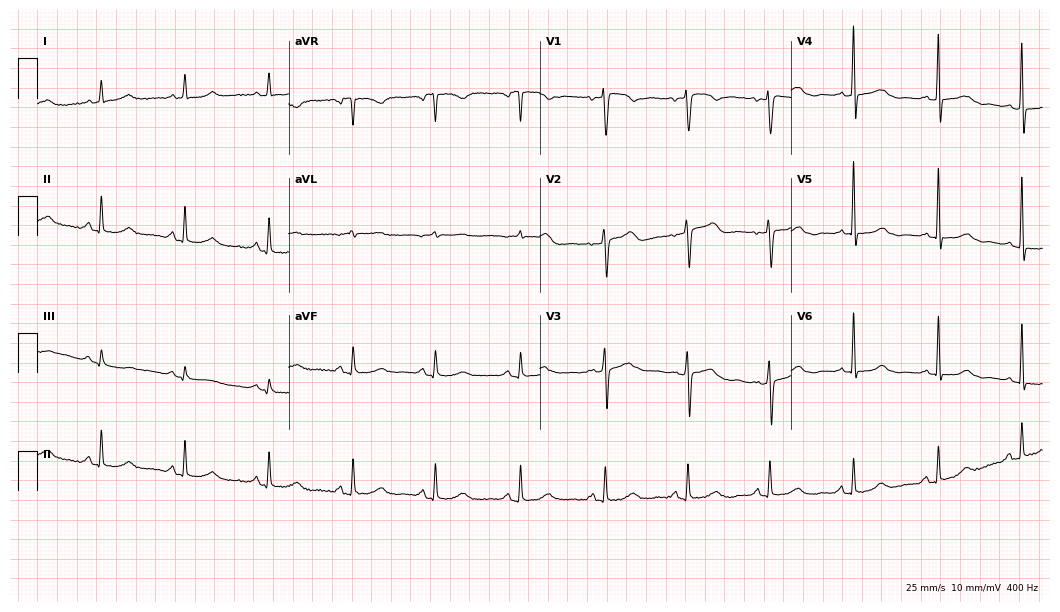
Standard 12-lead ECG recorded from a 73-year-old female (10.2-second recording at 400 Hz). Read as a normal ECG.